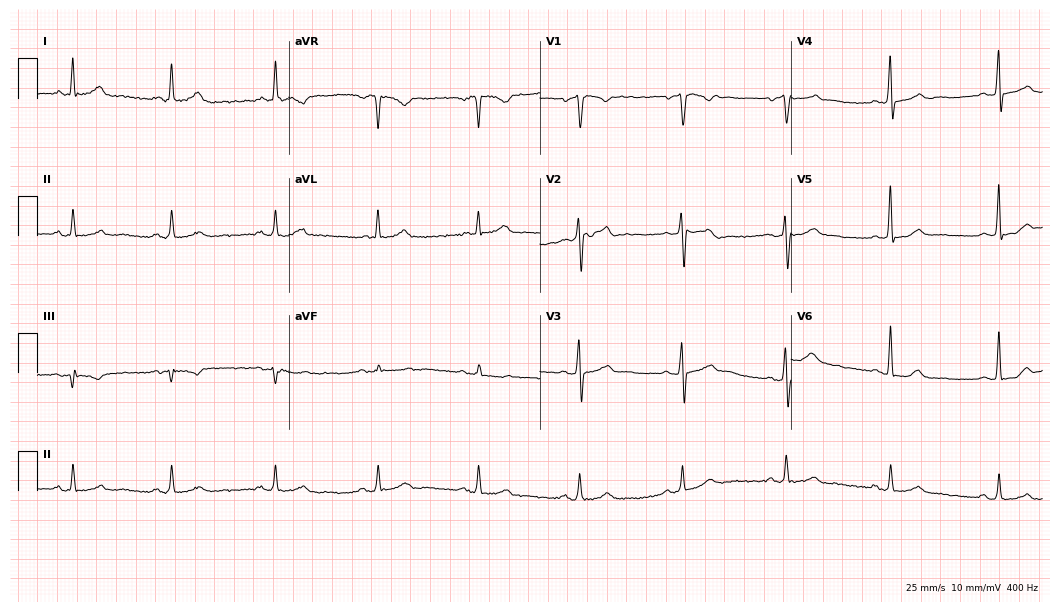
12-lead ECG (10.2-second recording at 400 Hz) from a man, 60 years old. Labelled as a normal ECG.